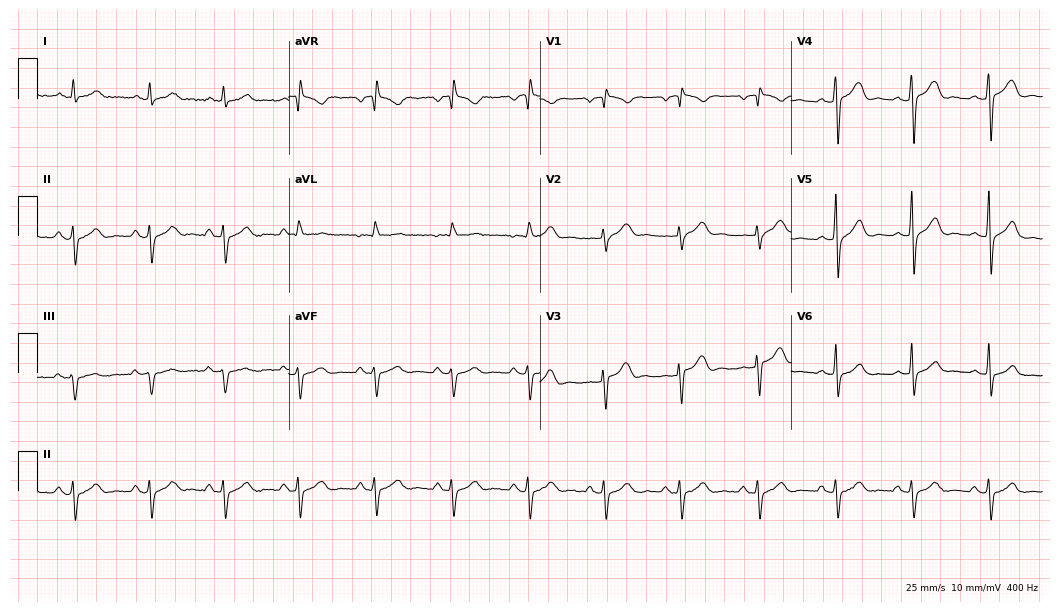
12-lead ECG from a male, 27 years old. Screened for six findings — first-degree AV block, right bundle branch block (RBBB), left bundle branch block (LBBB), sinus bradycardia, atrial fibrillation (AF), sinus tachycardia — none is recorded. Findings outside these six are not listed.